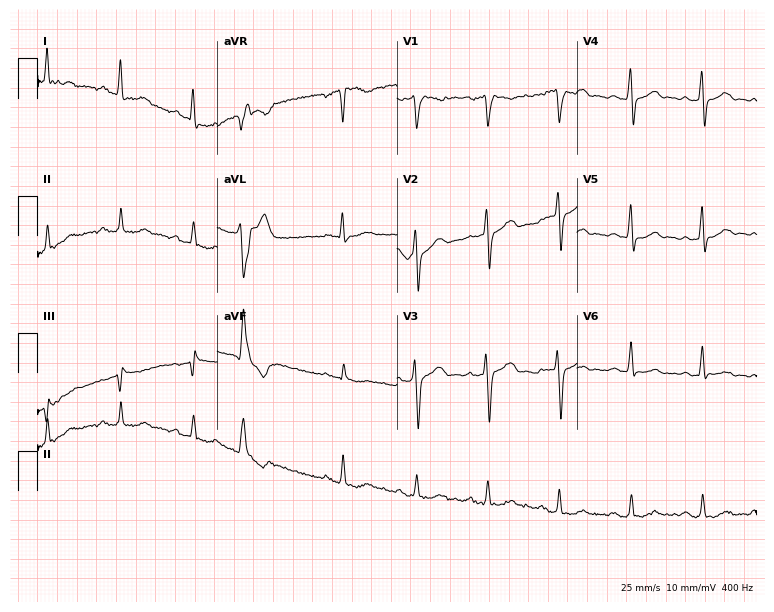
12-lead ECG from a 33-year-old male. No first-degree AV block, right bundle branch block, left bundle branch block, sinus bradycardia, atrial fibrillation or sinus tachycardia recorded for this tracing.